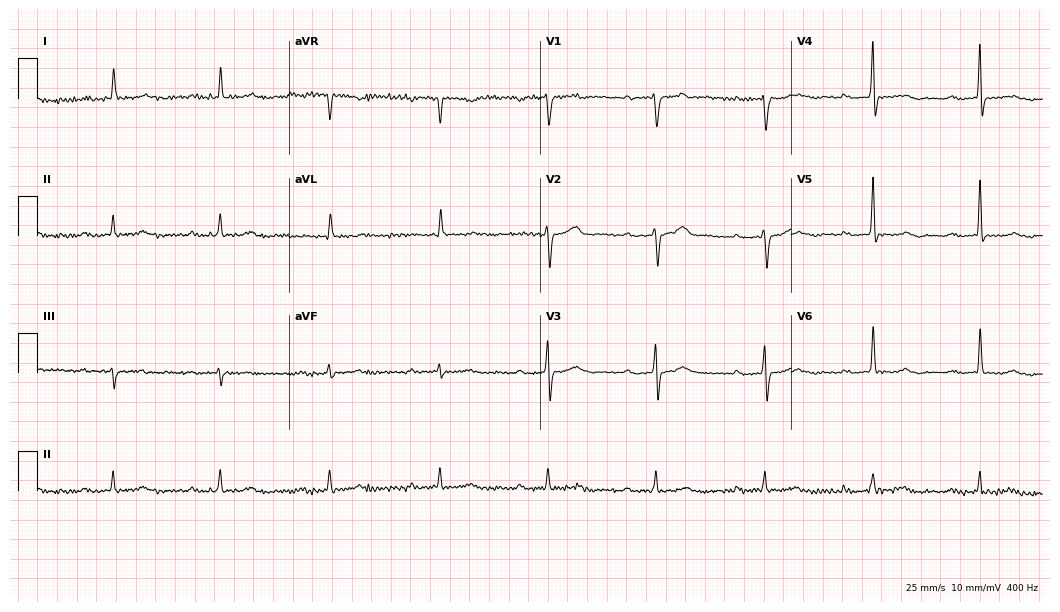
ECG — a man, 63 years old. Findings include first-degree AV block.